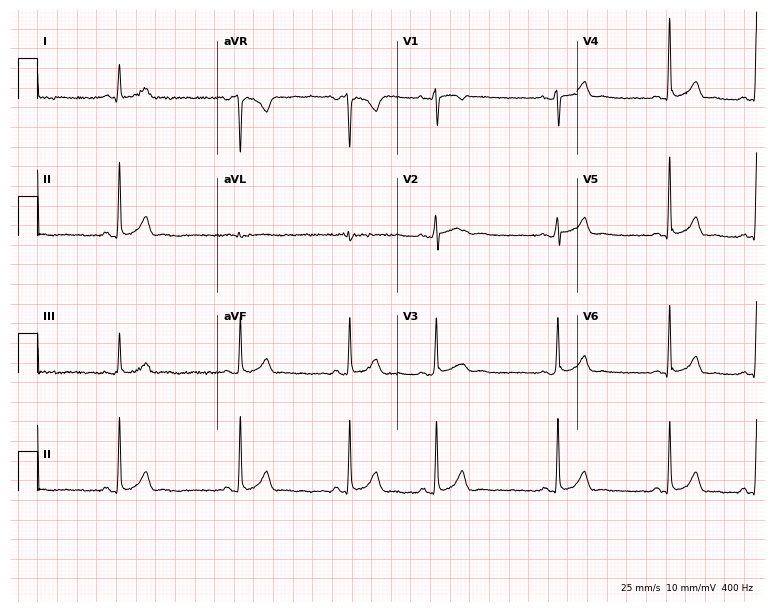
Electrocardiogram, a 26-year-old woman. Of the six screened findings (first-degree AV block, right bundle branch block, left bundle branch block, sinus bradycardia, atrial fibrillation, sinus tachycardia), none is recorded. Only these six findings were labelled.